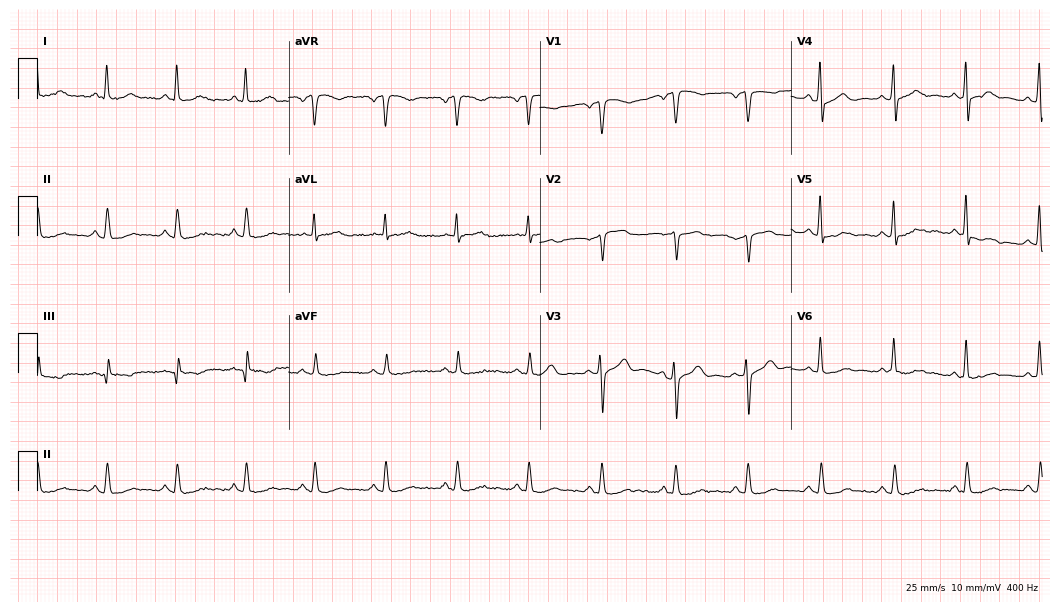
Resting 12-lead electrocardiogram. Patient: a 61-year-old male. Read as a normal ECG.